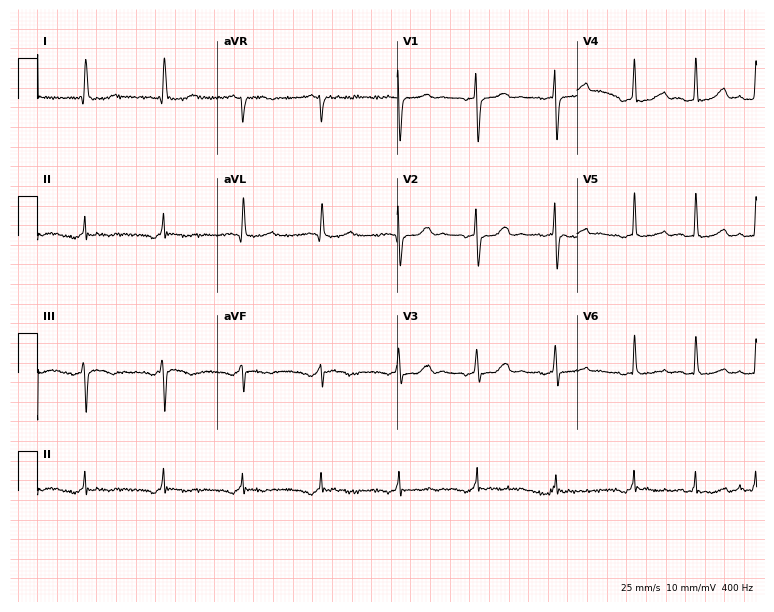
Standard 12-lead ECG recorded from a female patient, 83 years old (7.3-second recording at 400 Hz). None of these six findings is recorded: first-degree AV block, right bundle branch block (RBBB), left bundle branch block (LBBB), sinus bradycardia, atrial fibrillation (AF), sinus tachycardia.